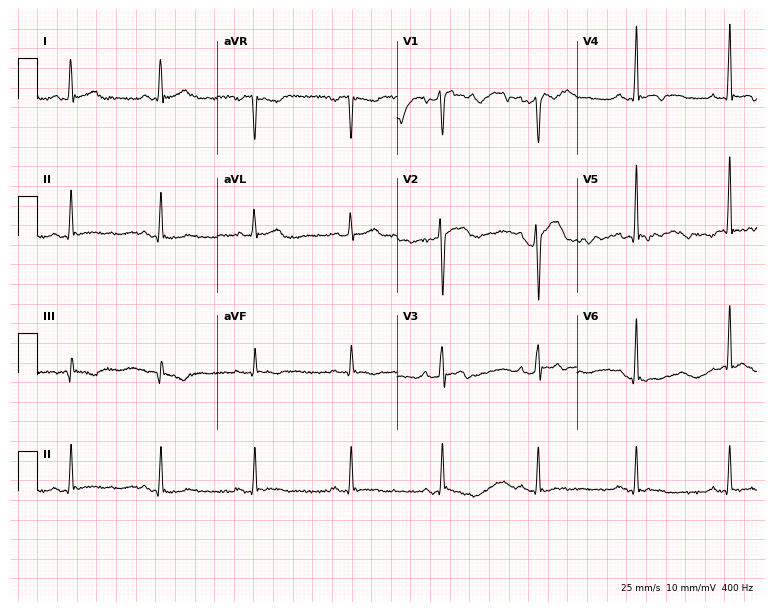
Resting 12-lead electrocardiogram (7.3-second recording at 400 Hz). Patient: a male, 29 years old. None of these six findings is recorded: first-degree AV block, right bundle branch block (RBBB), left bundle branch block (LBBB), sinus bradycardia, atrial fibrillation (AF), sinus tachycardia.